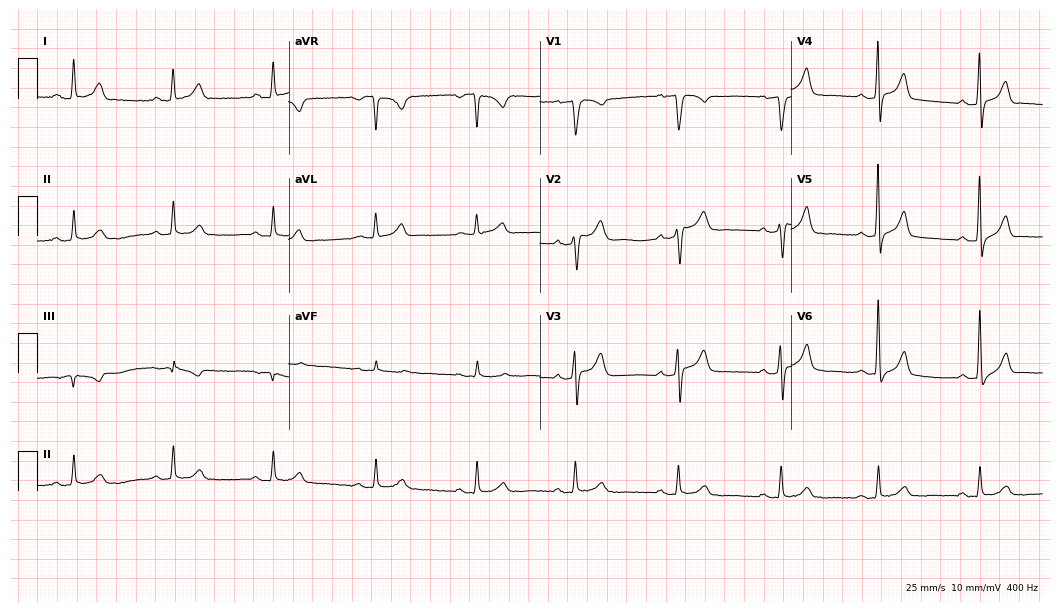
Standard 12-lead ECG recorded from a 71-year-old man. None of these six findings is recorded: first-degree AV block, right bundle branch block, left bundle branch block, sinus bradycardia, atrial fibrillation, sinus tachycardia.